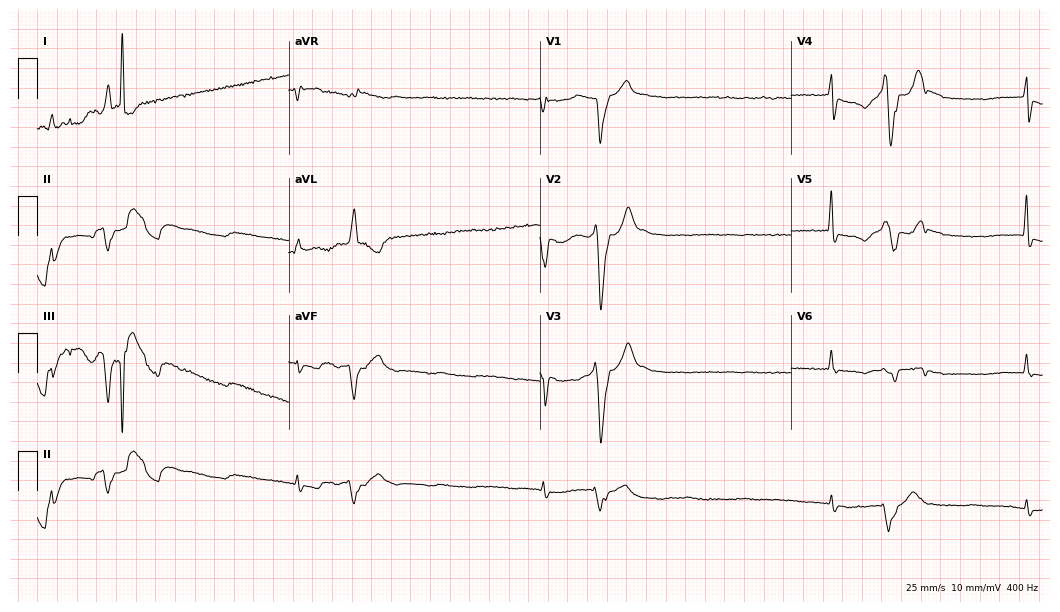
12-lead ECG (10.2-second recording at 400 Hz) from a 75-year-old male patient. Findings include sinus bradycardia (a sinus rate of 50 beats per minute or less).